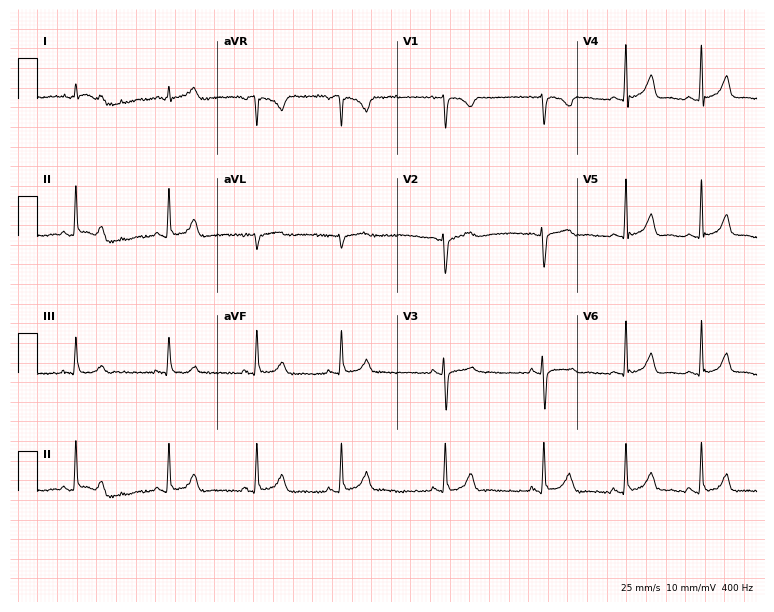
ECG — a female, 22 years old. Screened for six findings — first-degree AV block, right bundle branch block, left bundle branch block, sinus bradycardia, atrial fibrillation, sinus tachycardia — none is recorded.